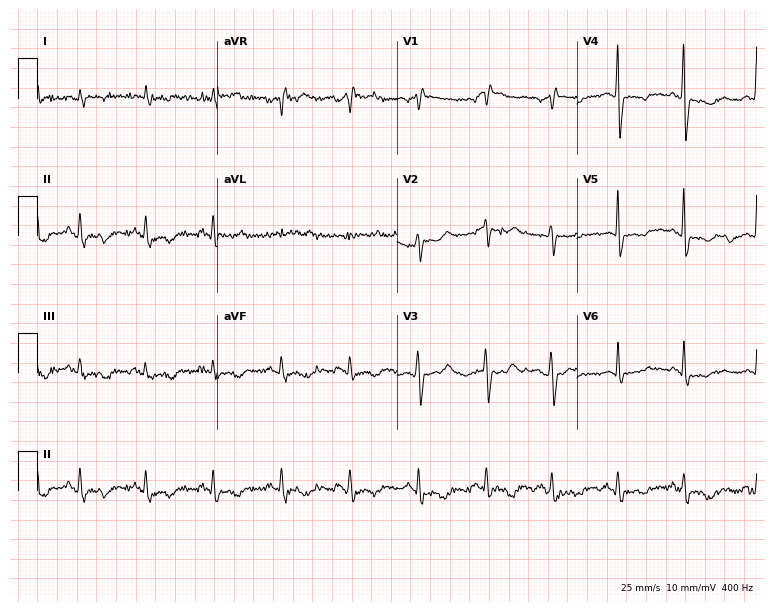
12-lead ECG from a male, 39 years old. No first-degree AV block, right bundle branch block, left bundle branch block, sinus bradycardia, atrial fibrillation or sinus tachycardia recorded for this tracing. Other findings, if any, are not listed.